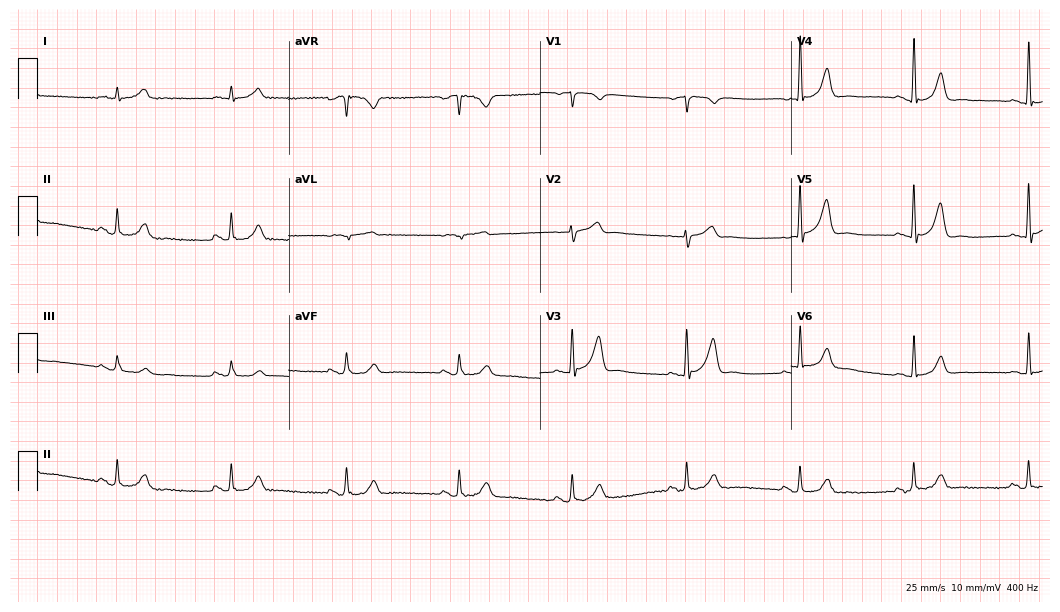
Electrocardiogram (10.2-second recording at 400 Hz), a man, 67 years old. Overall reading on record: normal ECG.